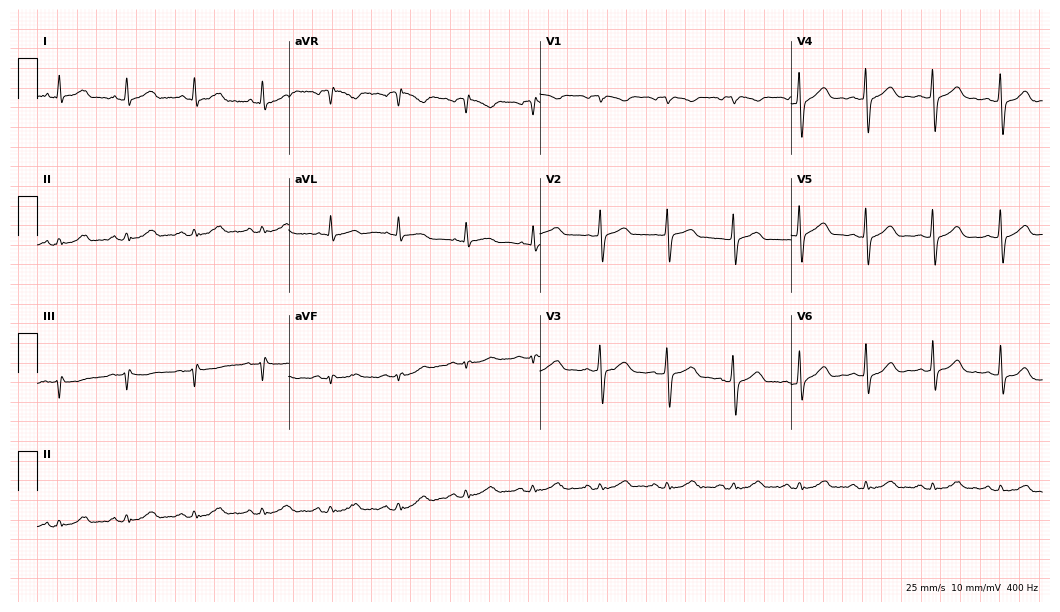
Standard 12-lead ECG recorded from a man, 67 years old (10.2-second recording at 400 Hz). None of these six findings is recorded: first-degree AV block, right bundle branch block (RBBB), left bundle branch block (LBBB), sinus bradycardia, atrial fibrillation (AF), sinus tachycardia.